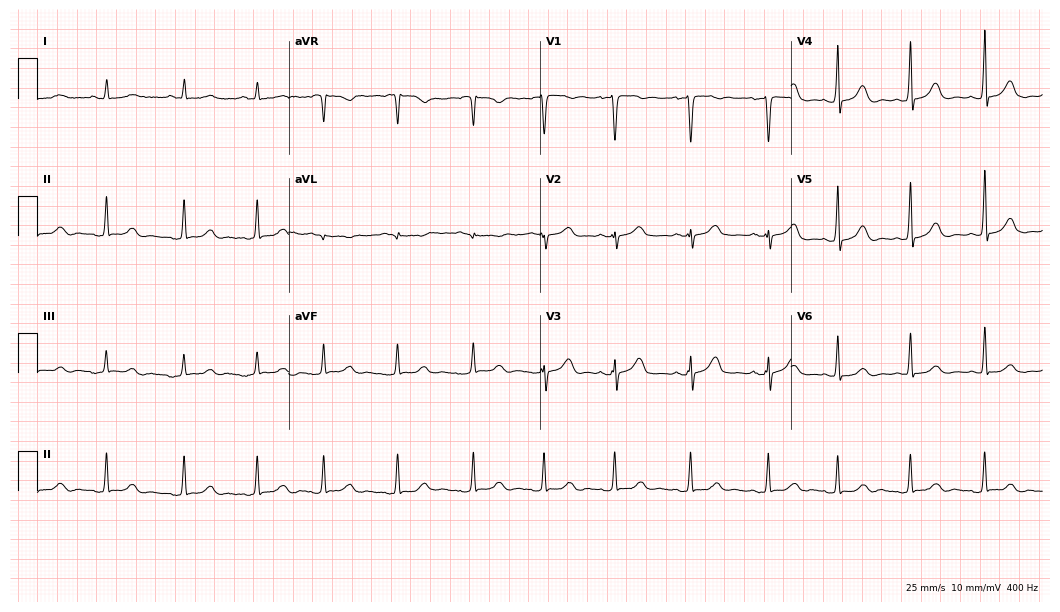
12-lead ECG (10.2-second recording at 400 Hz) from a 57-year-old male. Labelled as a normal ECG.